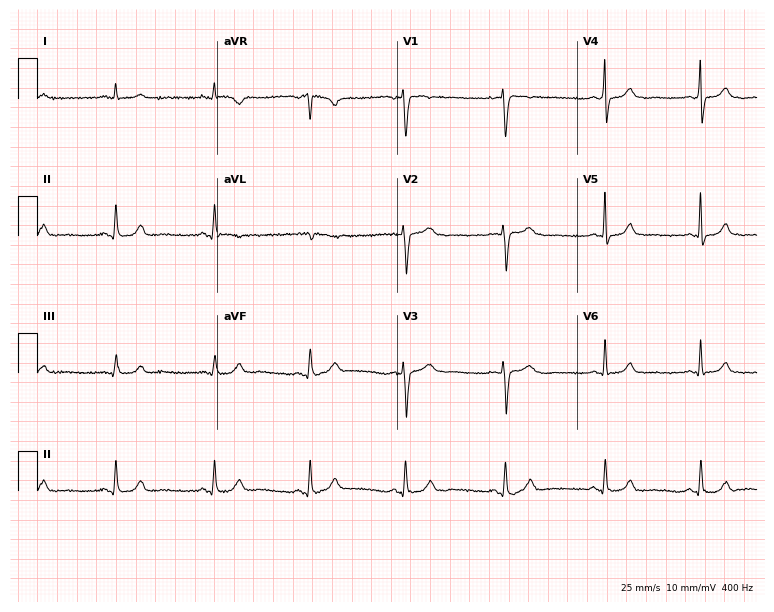
ECG (7.3-second recording at 400 Hz) — a female patient, 41 years old. Screened for six findings — first-degree AV block, right bundle branch block (RBBB), left bundle branch block (LBBB), sinus bradycardia, atrial fibrillation (AF), sinus tachycardia — none is recorded. Other findings, if any, are not listed.